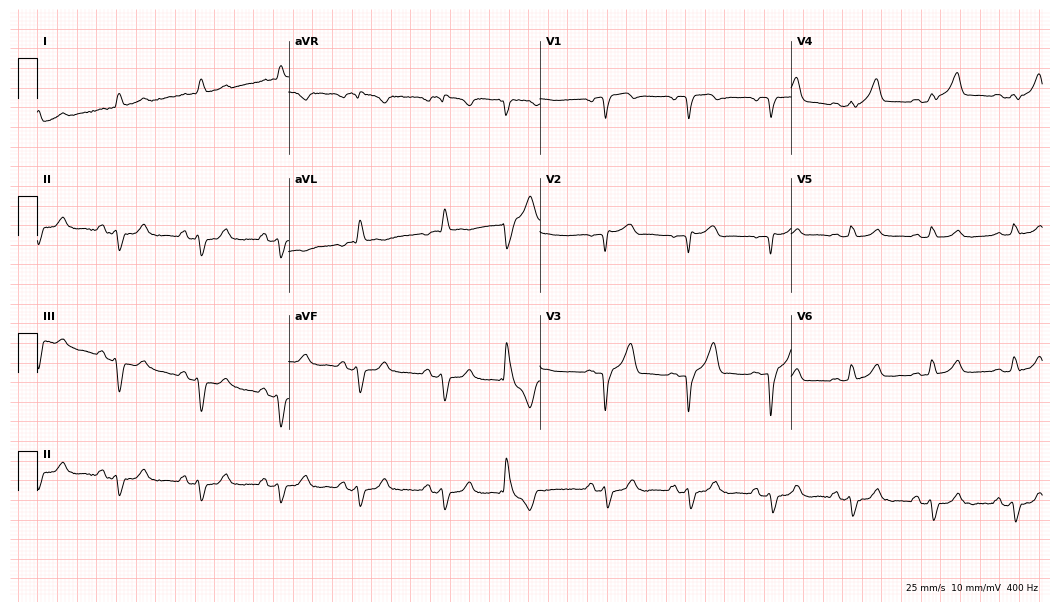
12-lead ECG (10.2-second recording at 400 Hz) from a male patient, 69 years old. Screened for six findings — first-degree AV block, right bundle branch block, left bundle branch block, sinus bradycardia, atrial fibrillation, sinus tachycardia — none is recorded.